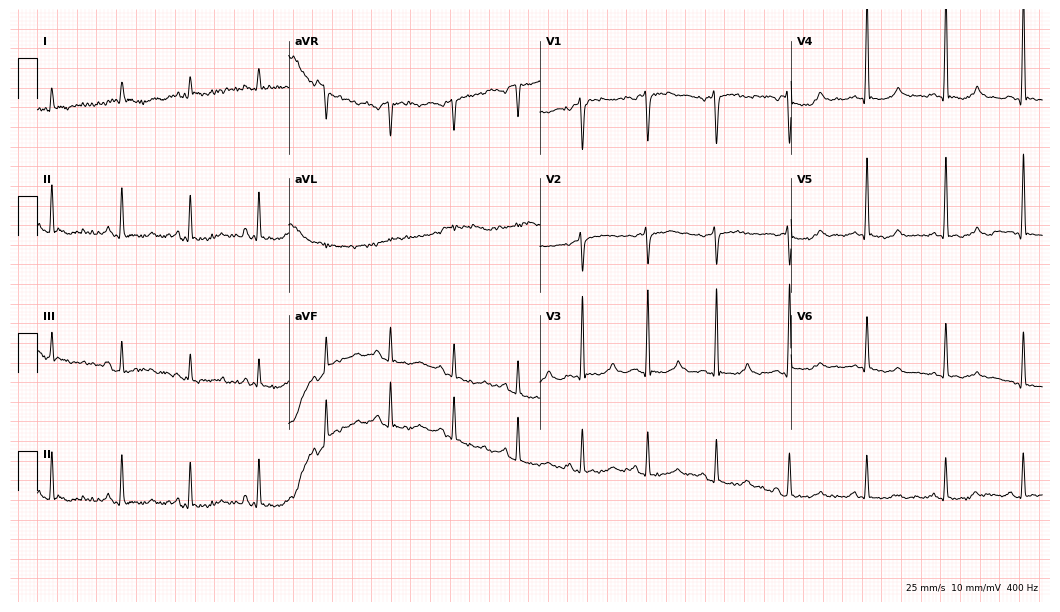
12-lead ECG from a 43-year-old man (10.2-second recording at 400 Hz). No first-degree AV block, right bundle branch block (RBBB), left bundle branch block (LBBB), sinus bradycardia, atrial fibrillation (AF) or sinus tachycardia recorded for this tracing.